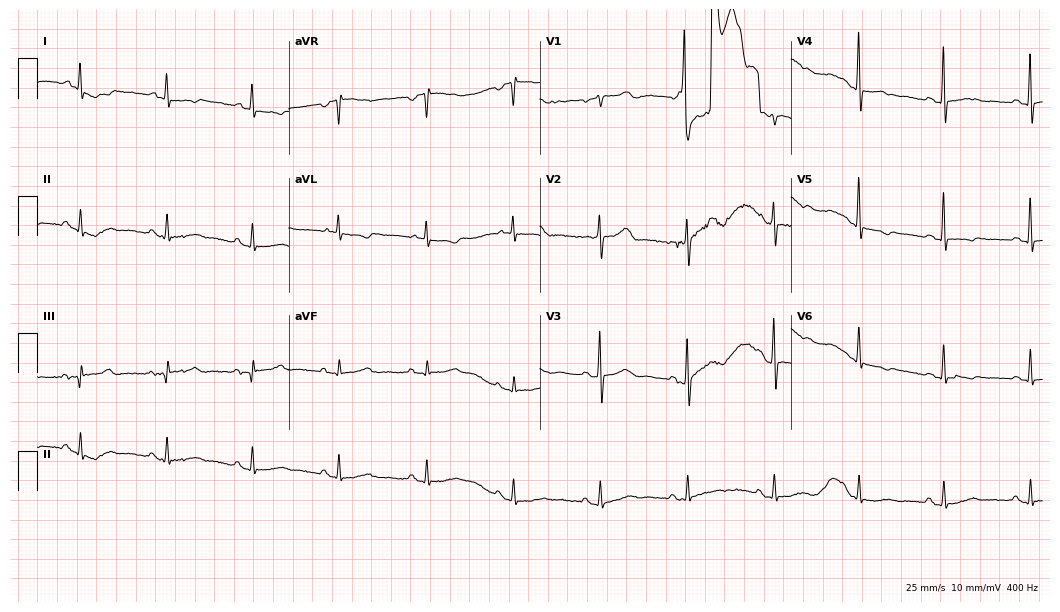
Standard 12-lead ECG recorded from a female patient, 78 years old. None of these six findings is recorded: first-degree AV block, right bundle branch block (RBBB), left bundle branch block (LBBB), sinus bradycardia, atrial fibrillation (AF), sinus tachycardia. Findings outside these six are not listed.